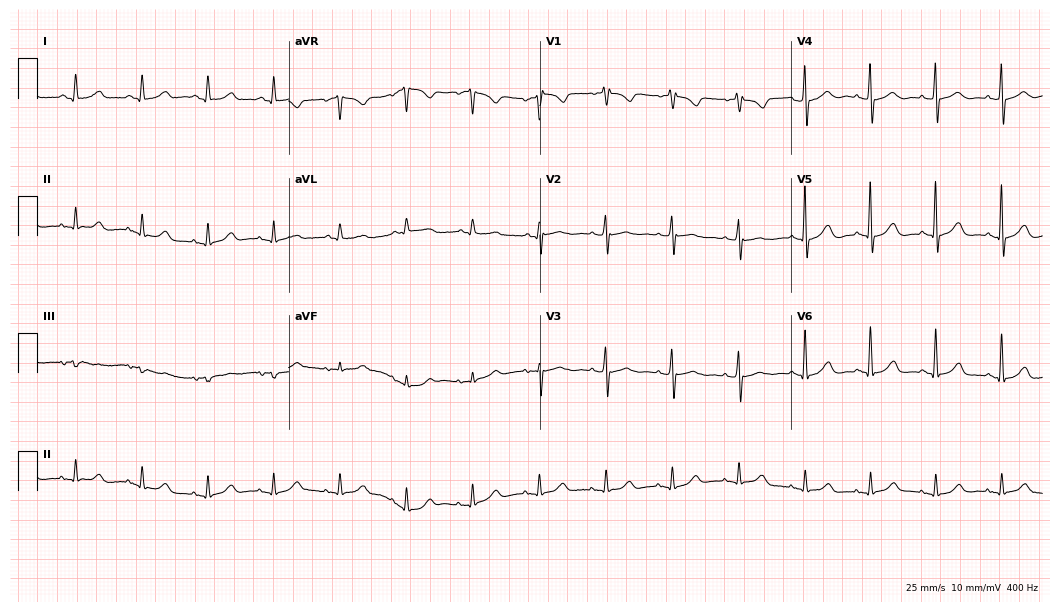
Standard 12-lead ECG recorded from a 77-year-old female patient. Read as a normal ECG.